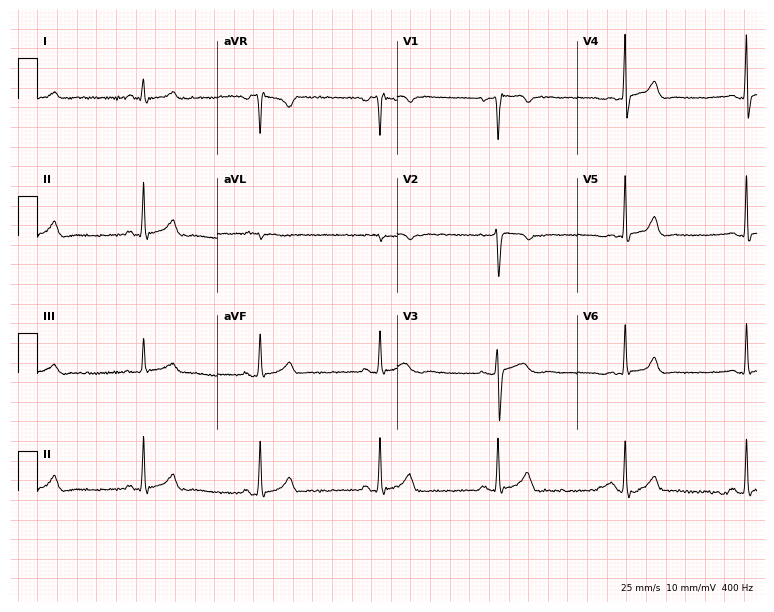
12-lead ECG from a man, 20 years old (7.3-second recording at 400 Hz). Recorded interpretation: within normal limits.